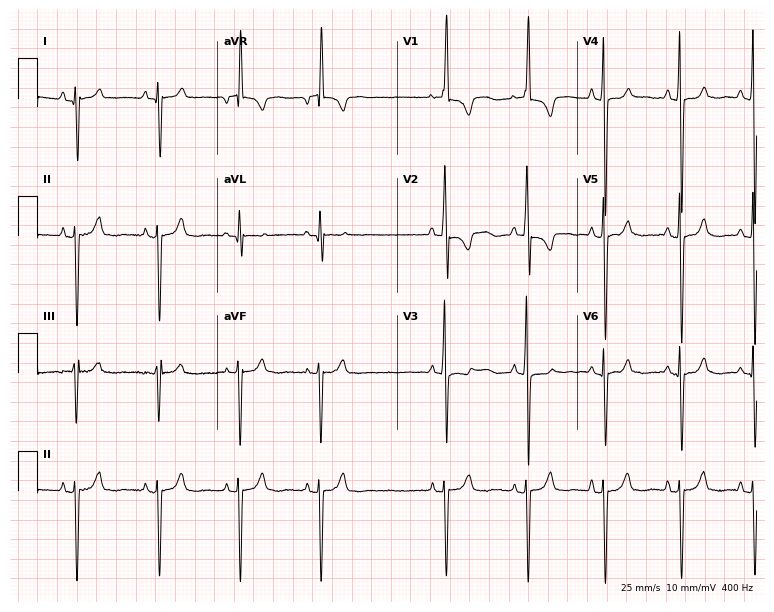
Electrocardiogram, a woman, 29 years old. Of the six screened findings (first-degree AV block, right bundle branch block, left bundle branch block, sinus bradycardia, atrial fibrillation, sinus tachycardia), none is recorded.